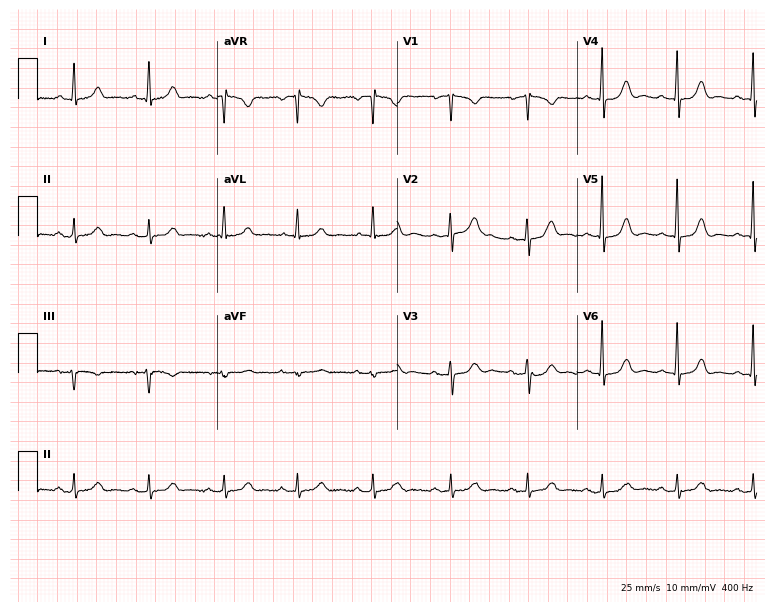
12-lead ECG from a 63-year-old female. Recorded interpretation: within normal limits.